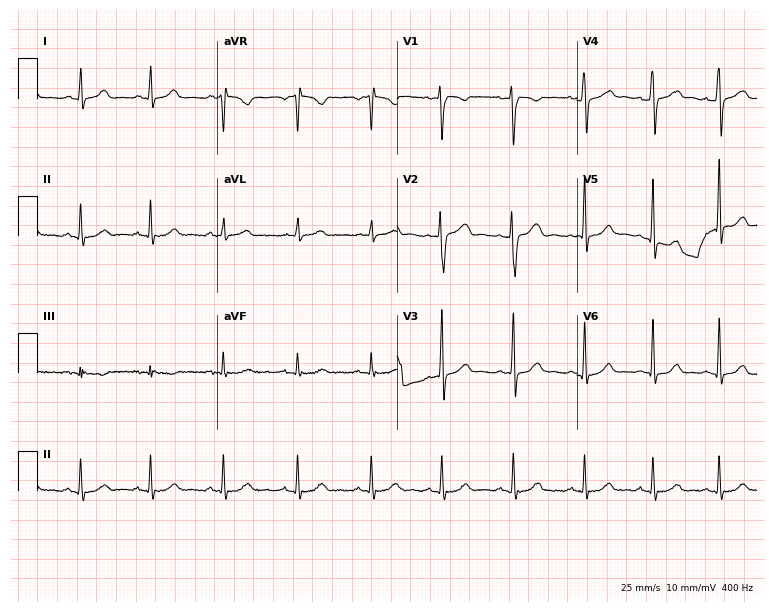
ECG (7.3-second recording at 400 Hz) — a woman, 35 years old. Labelled as a normal ECG.